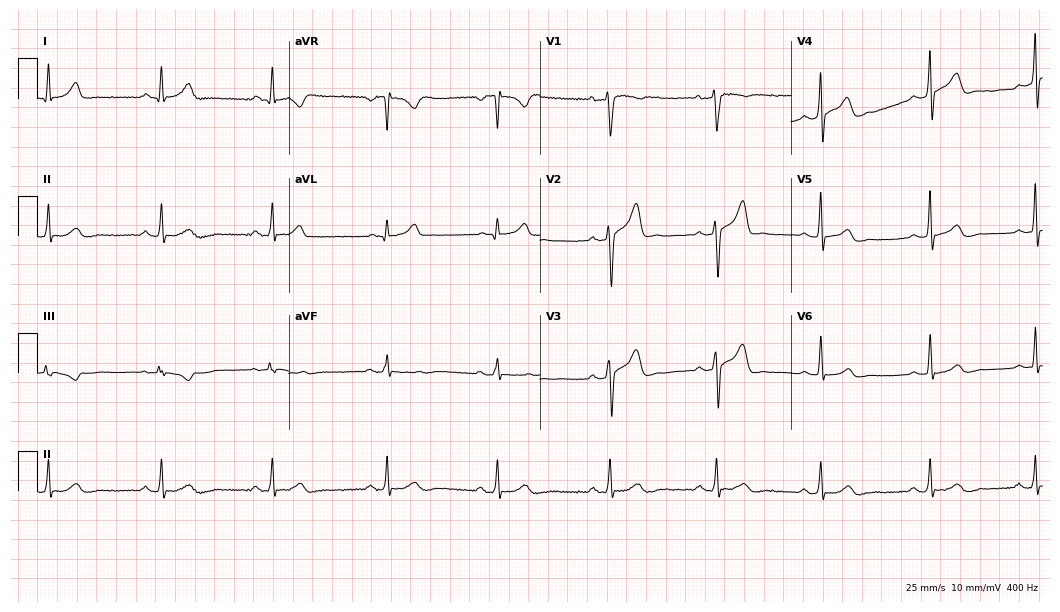
Standard 12-lead ECG recorded from a 41-year-old male (10.2-second recording at 400 Hz). None of these six findings is recorded: first-degree AV block, right bundle branch block (RBBB), left bundle branch block (LBBB), sinus bradycardia, atrial fibrillation (AF), sinus tachycardia.